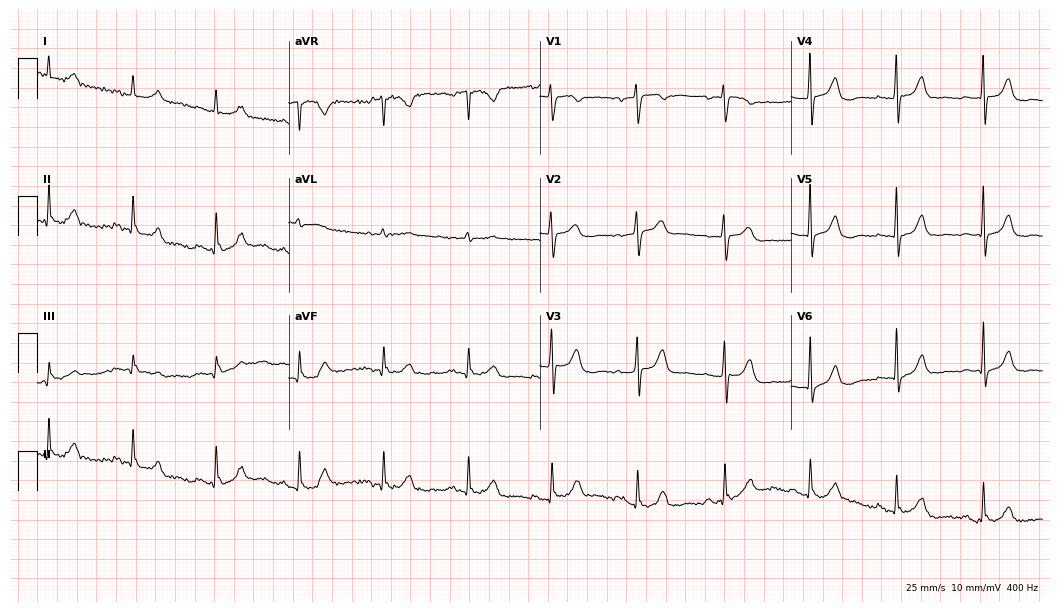
Electrocardiogram (10.2-second recording at 400 Hz), a man, 76 years old. Of the six screened findings (first-degree AV block, right bundle branch block (RBBB), left bundle branch block (LBBB), sinus bradycardia, atrial fibrillation (AF), sinus tachycardia), none is recorded.